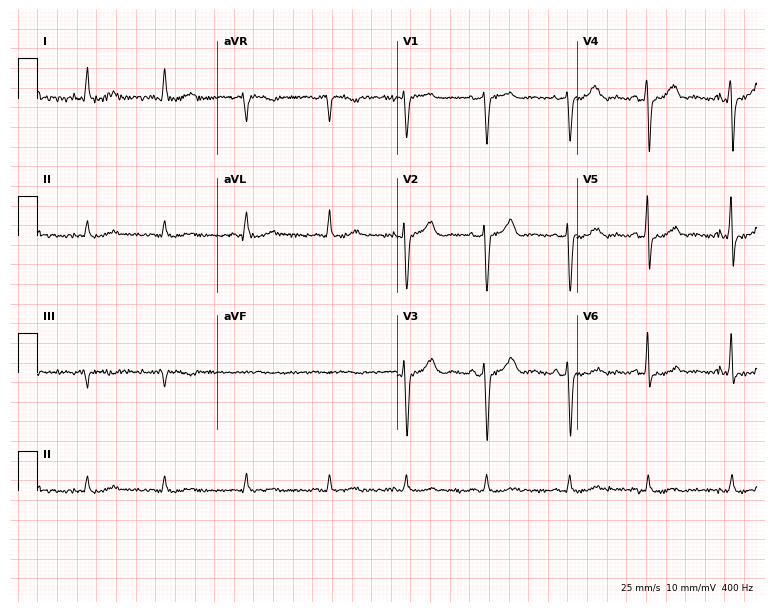
12-lead ECG (7.3-second recording at 400 Hz) from a female patient, 56 years old. Labelled as a normal ECG.